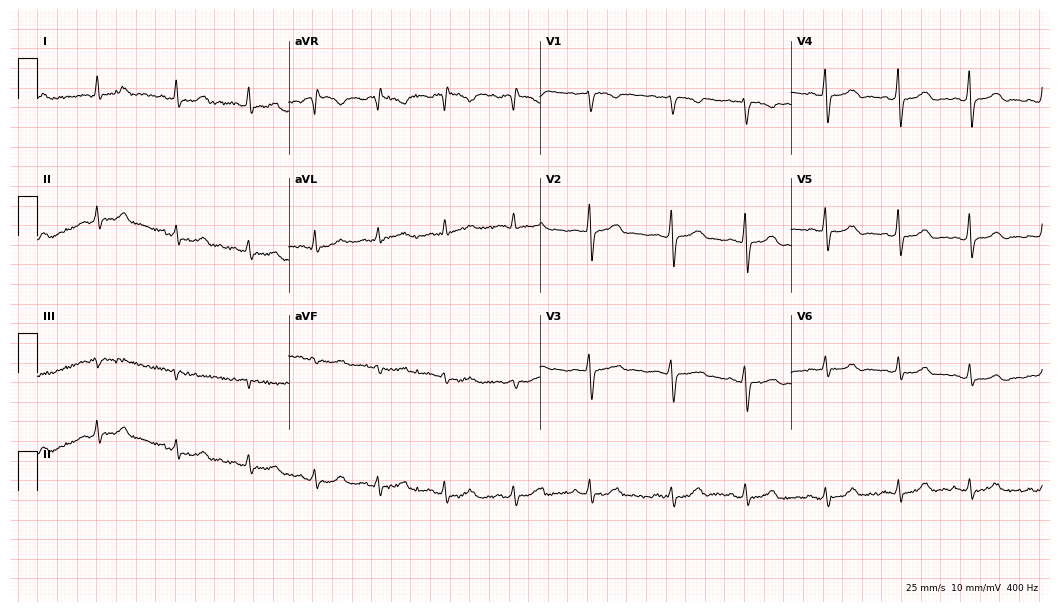
12-lead ECG (10.2-second recording at 400 Hz) from a 39-year-old woman. Labelled as a normal ECG.